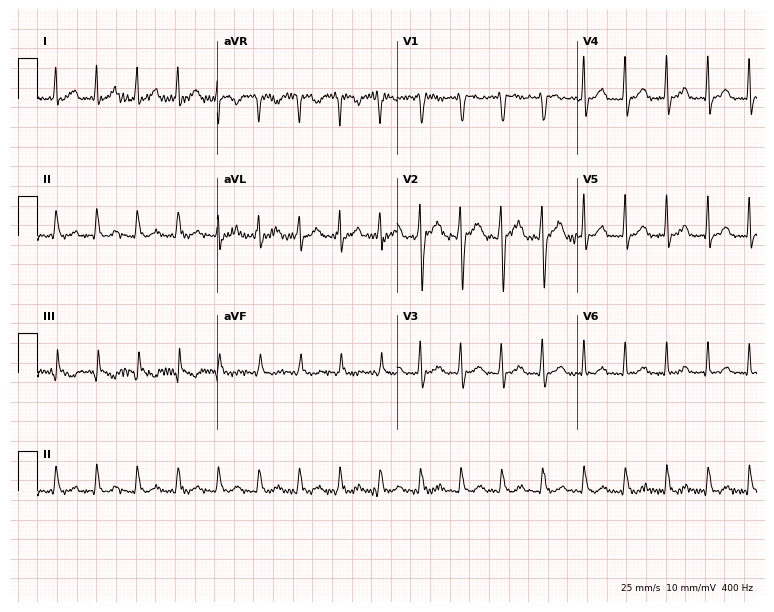
Electrocardiogram (7.3-second recording at 400 Hz), a female patient, 51 years old. Interpretation includes sinus tachycardia (a sinus rate of 100 beats per minute or more).